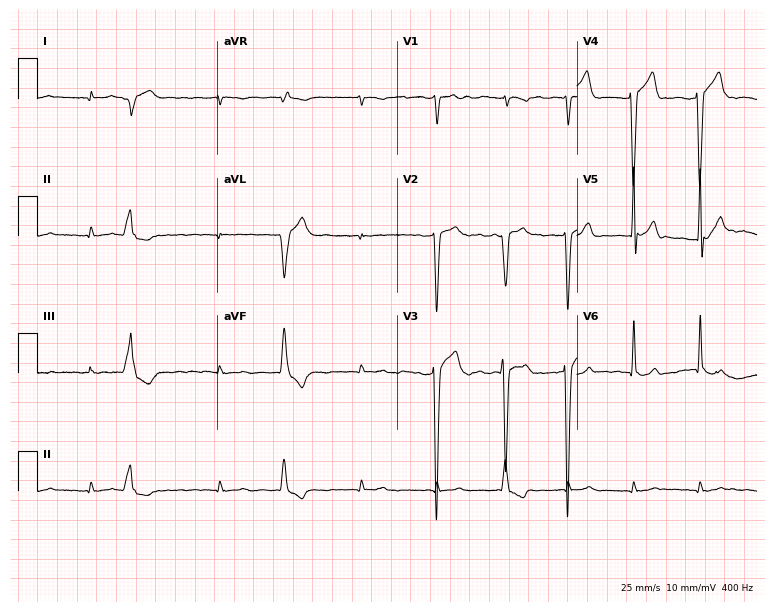
12-lead ECG from a 75-year-old male patient. Screened for six findings — first-degree AV block, right bundle branch block (RBBB), left bundle branch block (LBBB), sinus bradycardia, atrial fibrillation (AF), sinus tachycardia — none is recorded.